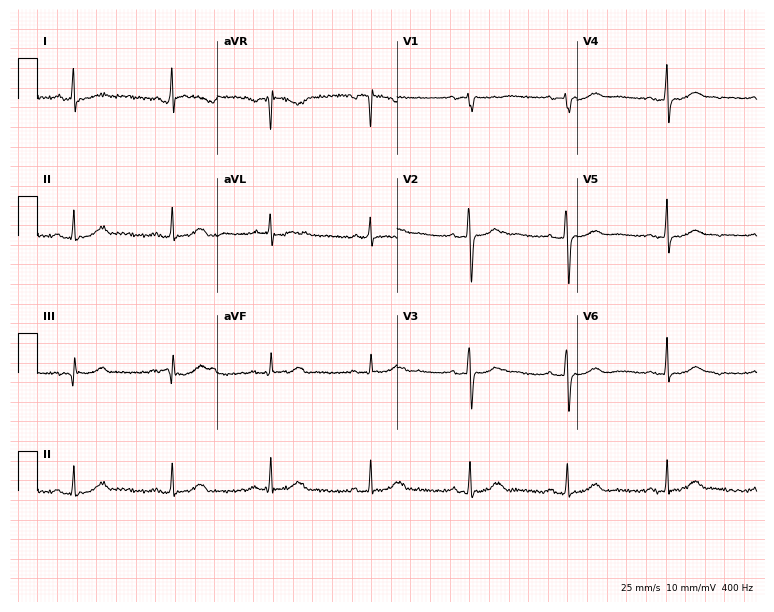
12-lead ECG from a 71-year-old woman. Labelled as a normal ECG.